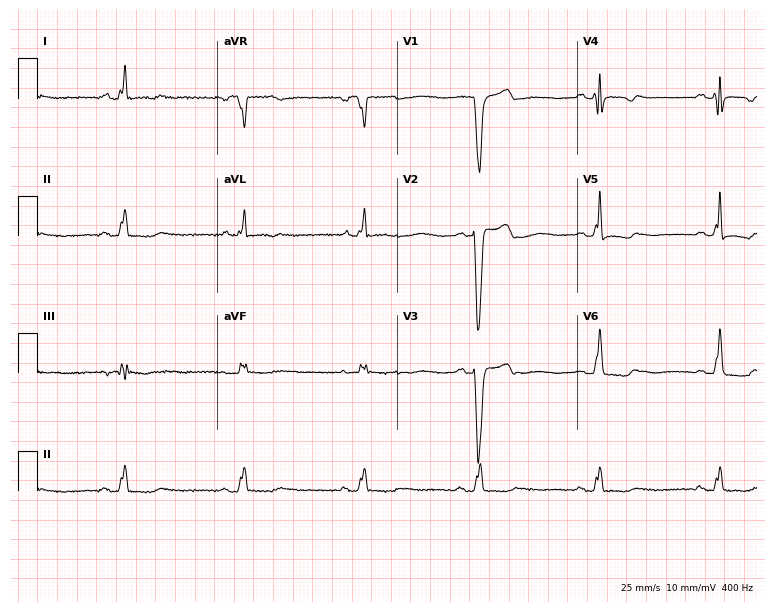
Electrocardiogram (7.3-second recording at 400 Hz), a 67-year-old female patient. Interpretation includes sinus bradycardia (a sinus rate of 50 beats per minute or less).